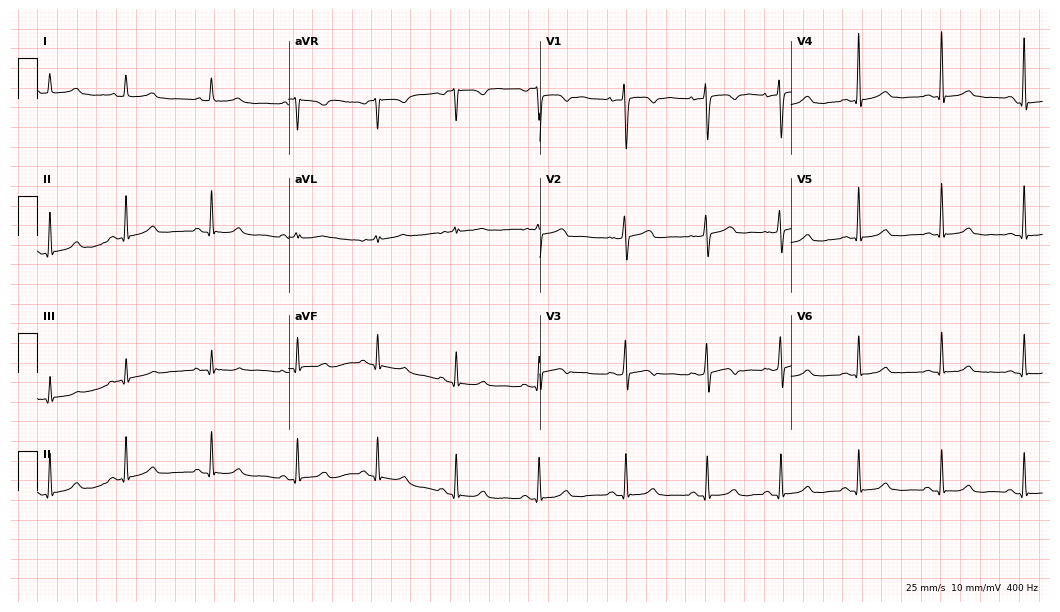
Standard 12-lead ECG recorded from a female, 37 years old. Read as a normal ECG.